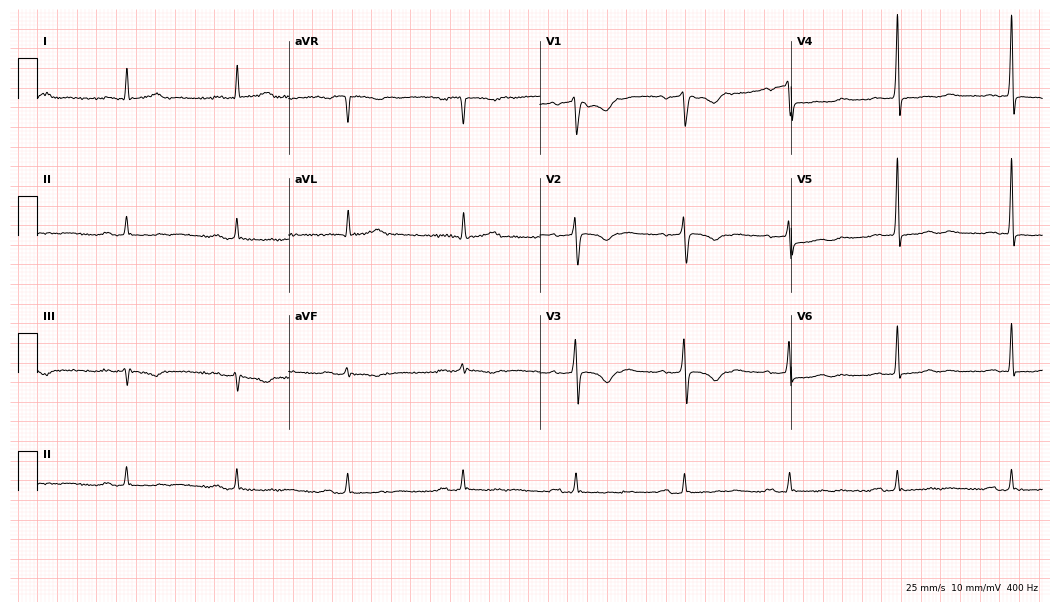
12-lead ECG from a male, 49 years old. No first-degree AV block, right bundle branch block, left bundle branch block, sinus bradycardia, atrial fibrillation or sinus tachycardia recorded for this tracing.